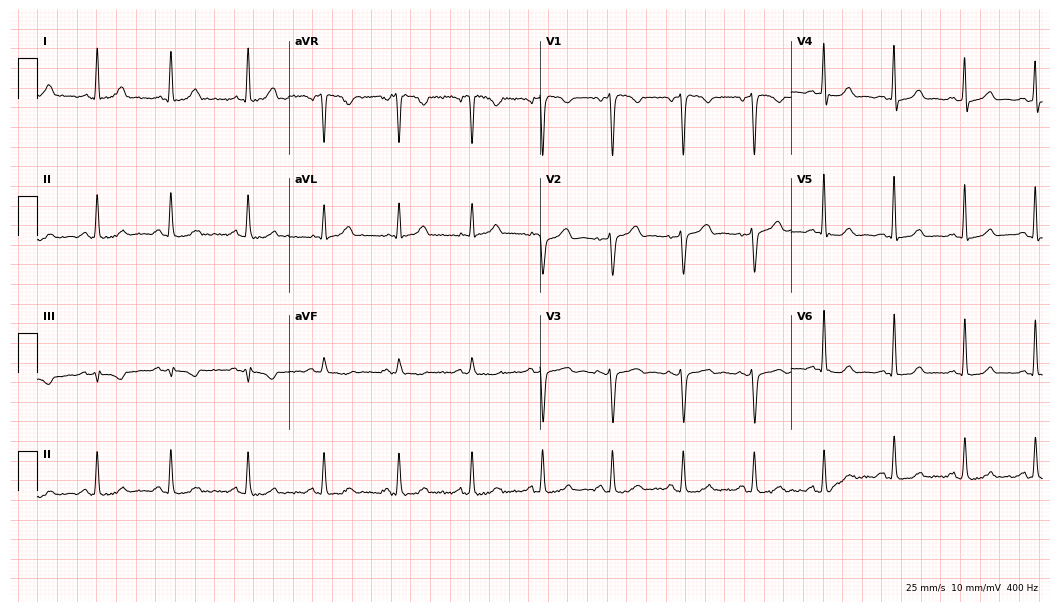
Standard 12-lead ECG recorded from a woman, 41 years old. Read as a normal ECG.